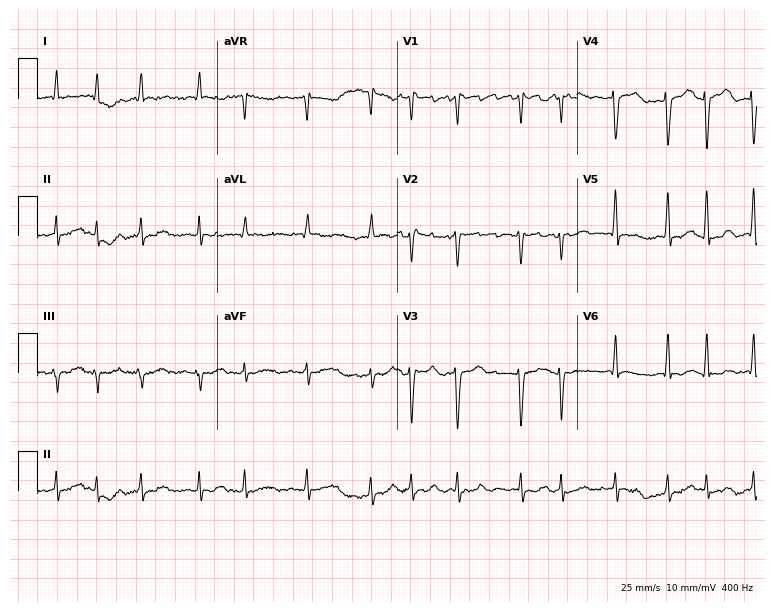
ECG (7.3-second recording at 400 Hz) — a female patient, 75 years old. Findings include atrial fibrillation (AF).